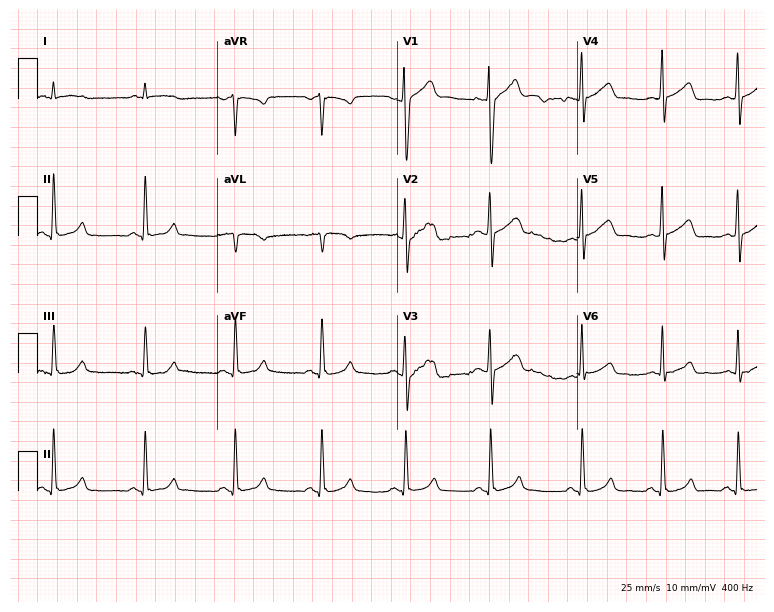
Electrocardiogram (7.3-second recording at 400 Hz), a 47-year-old male patient. Overall reading on record: normal ECG.